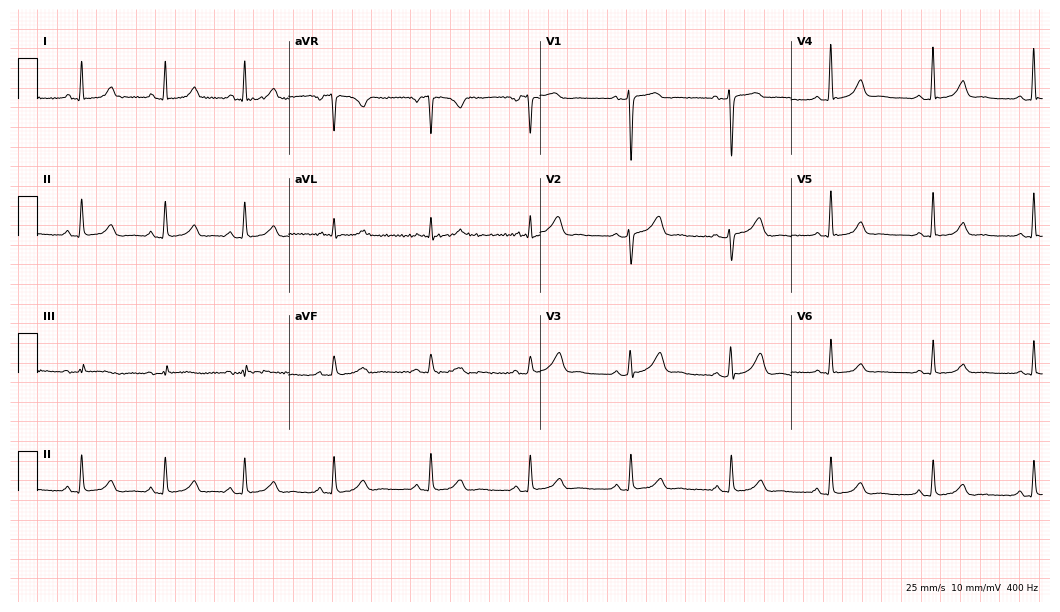
12-lead ECG from a female, 52 years old (10.2-second recording at 400 Hz). No first-degree AV block, right bundle branch block, left bundle branch block, sinus bradycardia, atrial fibrillation or sinus tachycardia recorded for this tracing.